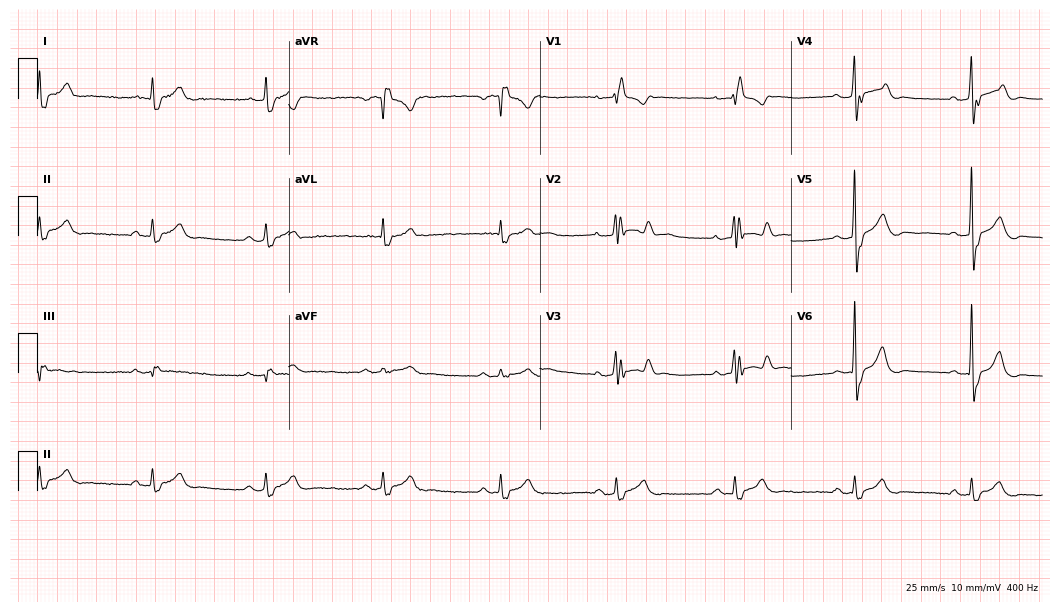
Resting 12-lead electrocardiogram. Patient: a man, 70 years old. The tracing shows right bundle branch block.